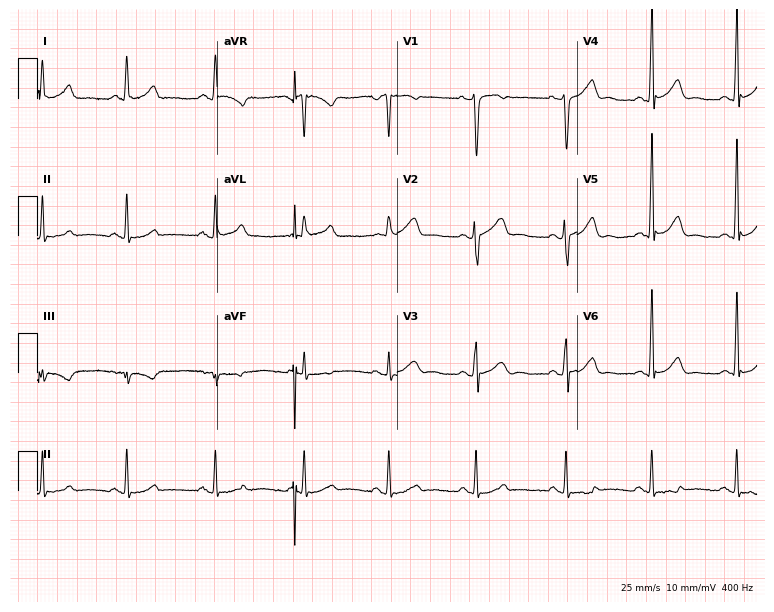
Electrocardiogram (7.3-second recording at 400 Hz), a 39-year-old man. Of the six screened findings (first-degree AV block, right bundle branch block, left bundle branch block, sinus bradycardia, atrial fibrillation, sinus tachycardia), none is recorded. Other findings, if any, are not listed.